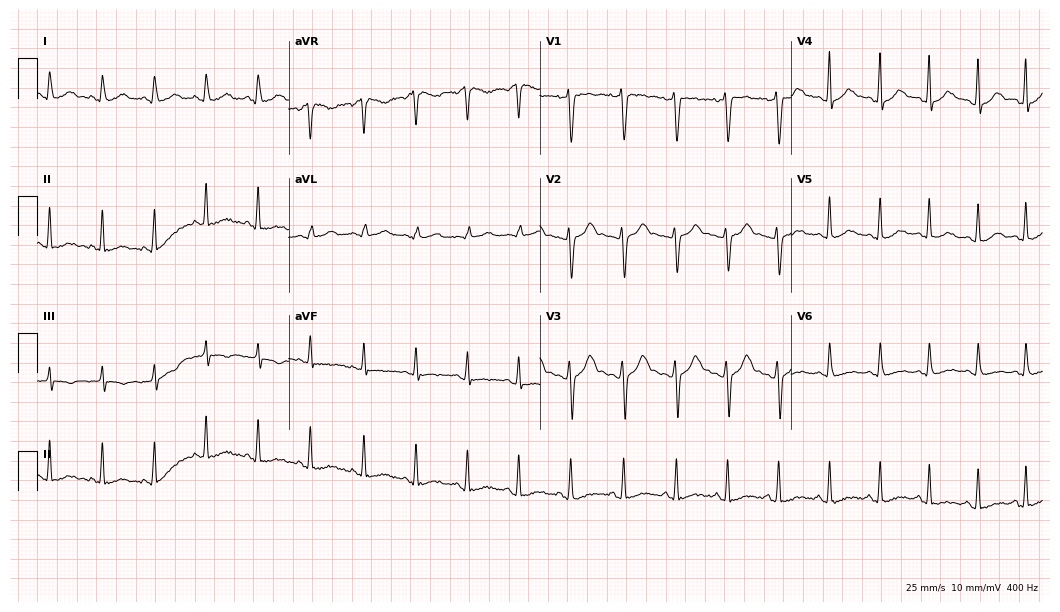
ECG (10.2-second recording at 400 Hz) — a 28-year-old woman. Findings include sinus tachycardia (a sinus rate of 100 beats per minute or more).